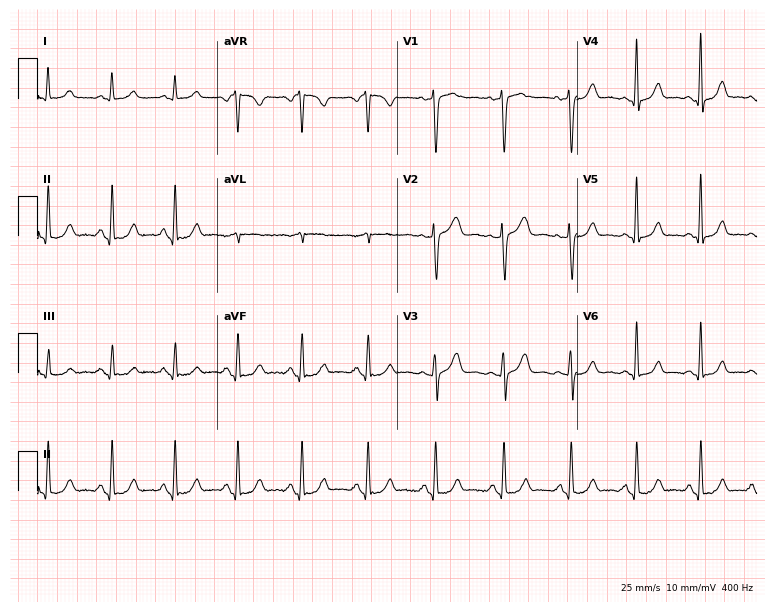
Standard 12-lead ECG recorded from a female, 48 years old. Read as a normal ECG.